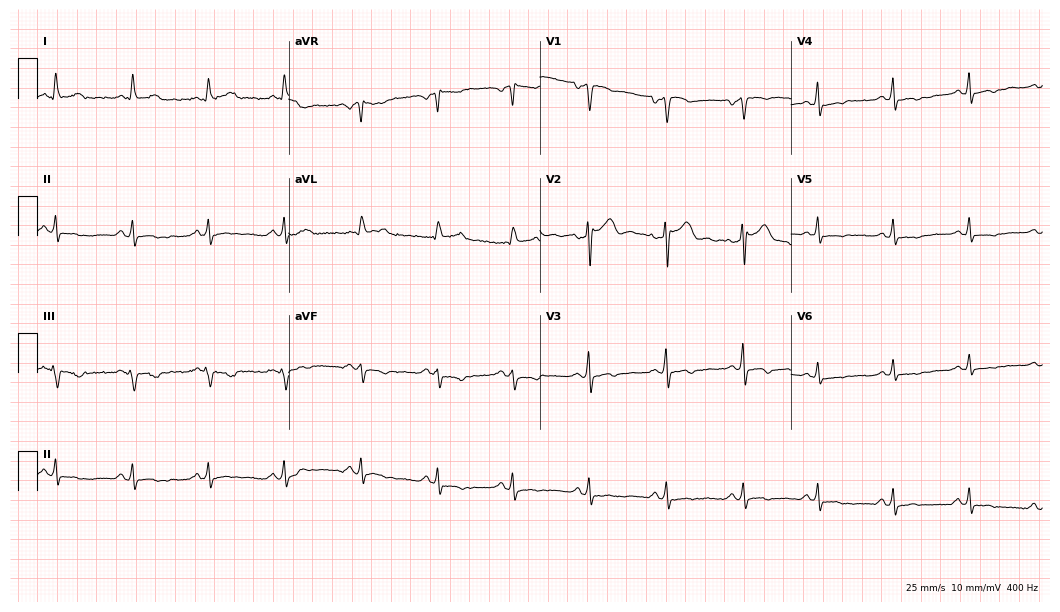
12-lead ECG from a man, 44 years old. No first-degree AV block, right bundle branch block, left bundle branch block, sinus bradycardia, atrial fibrillation or sinus tachycardia recorded for this tracing. Other findings, if any, are not listed.